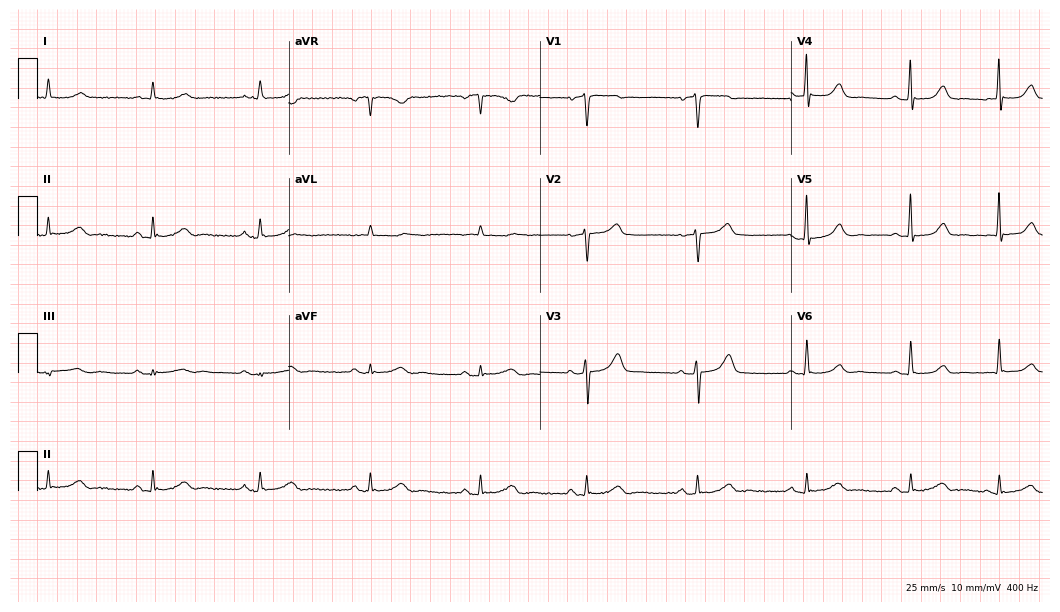
ECG — a male, 68 years old. Screened for six findings — first-degree AV block, right bundle branch block (RBBB), left bundle branch block (LBBB), sinus bradycardia, atrial fibrillation (AF), sinus tachycardia — none is recorded. Only these six findings were labelled.